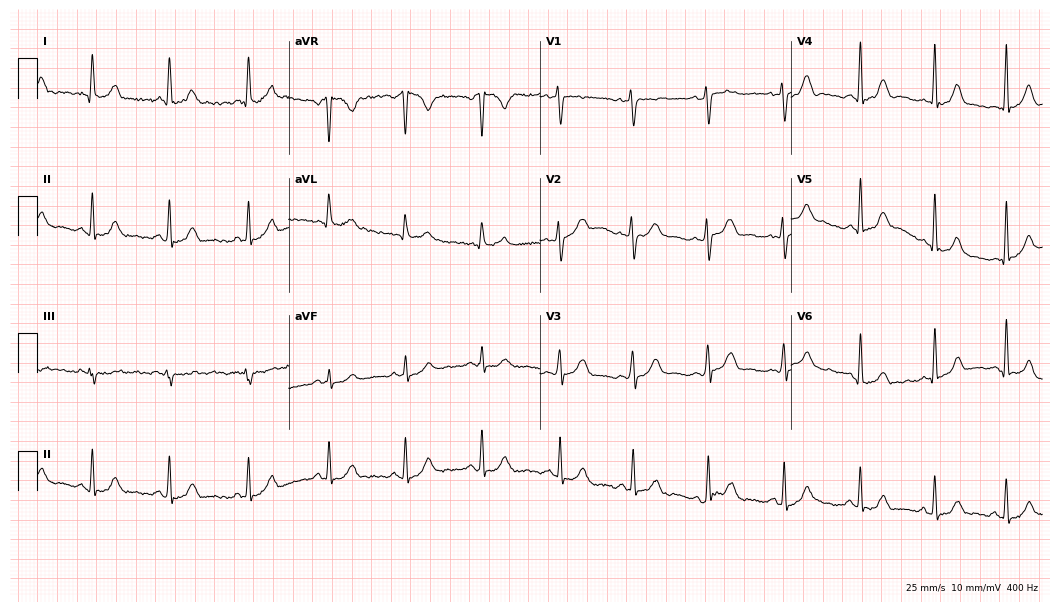
ECG (10.2-second recording at 400 Hz) — a female, 40 years old. Screened for six findings — first-degree AV block, right bundle branch block (RBBB), left bundle branch block (LBBB), sinus bradycardia, atrial fibrillation (AF), sinus tachycardia — none is recorded. Other findings, if any, are not listed.